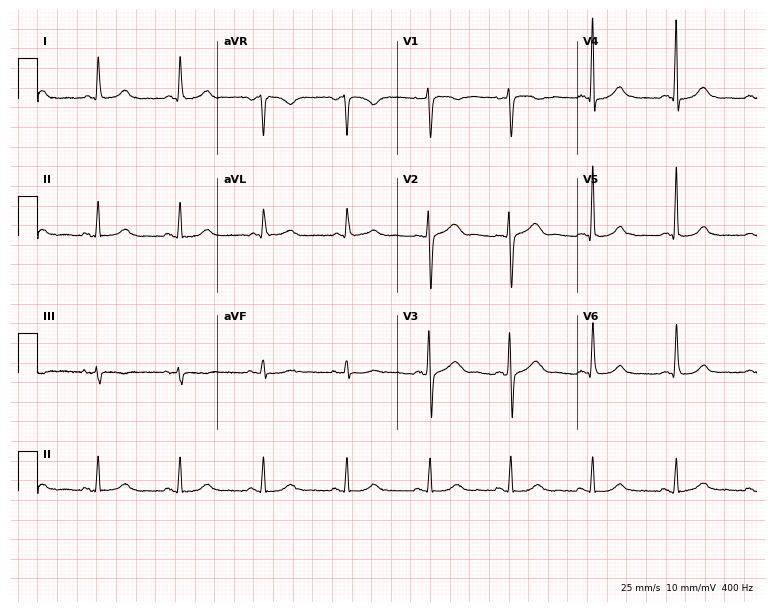
Resting 12-lead electrocardiogram. Patient: a 54-year-old female. Read as a normal ECG.